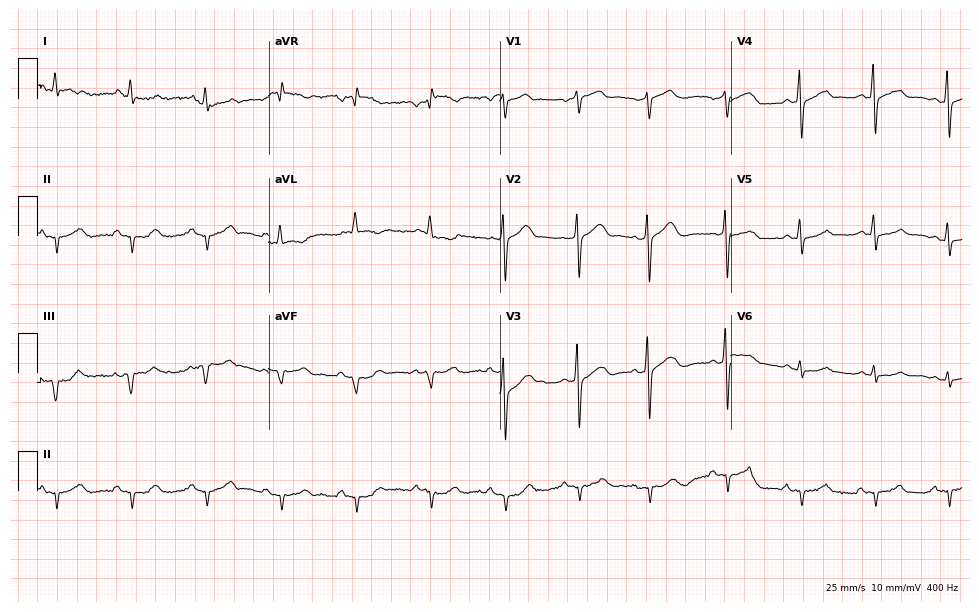
12-lead ECG (9.4-second recording at 400 Hz) from a man, 79 years old. Screened for six findings — first-degree AV block, right bundle branch block, left bundle branch block, sinus bradycardia, atrial fibrillation, sinus tachycardia — none is recorded. Findings outside these six are not listed.